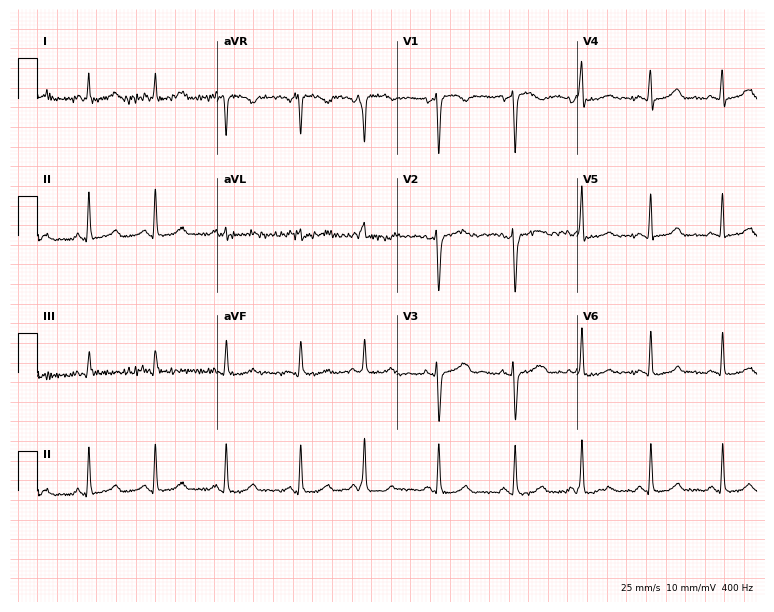
Resting 12-lead electrocardiogram (7.3-second recording at 400 Hz). Patient: a 27-year-old female. None of these six findings is recorded: first-degree AV block, right bundle branch block, left bundle branch block, sinus bradycardia, atrial fibrillation, sinus tachycardia. Findings outside these six are not listed.